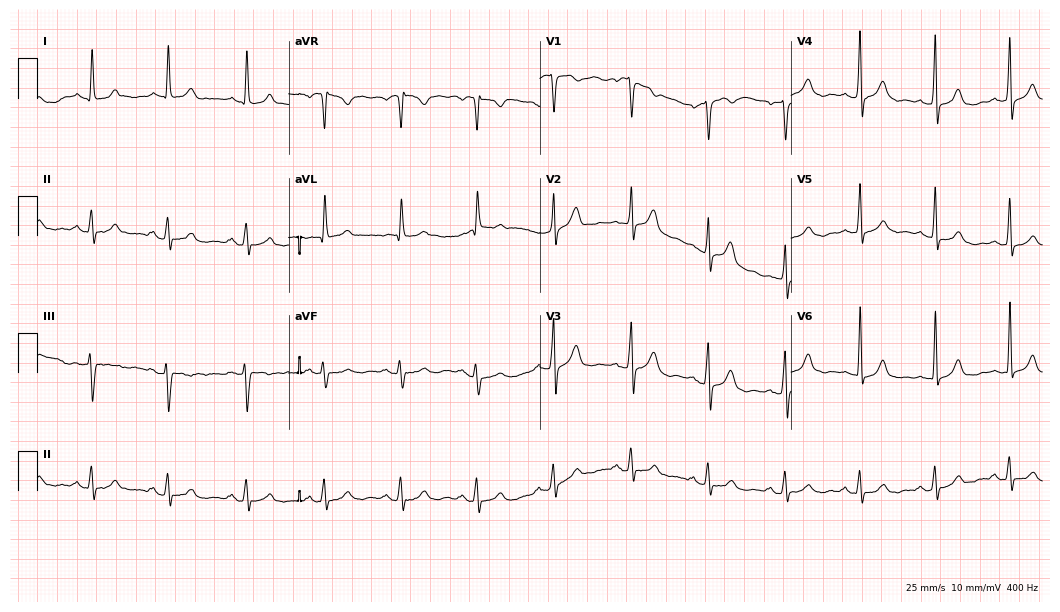
Electrocardiogram, a 57-year-old female. Of the six screened findings (first-degree AV block, right bundle branch block (RBBB), left bundle branch block (LBBB), sinus bradycardia, atrial fibrillation (AF), sinus tachycardia), none is recorded.